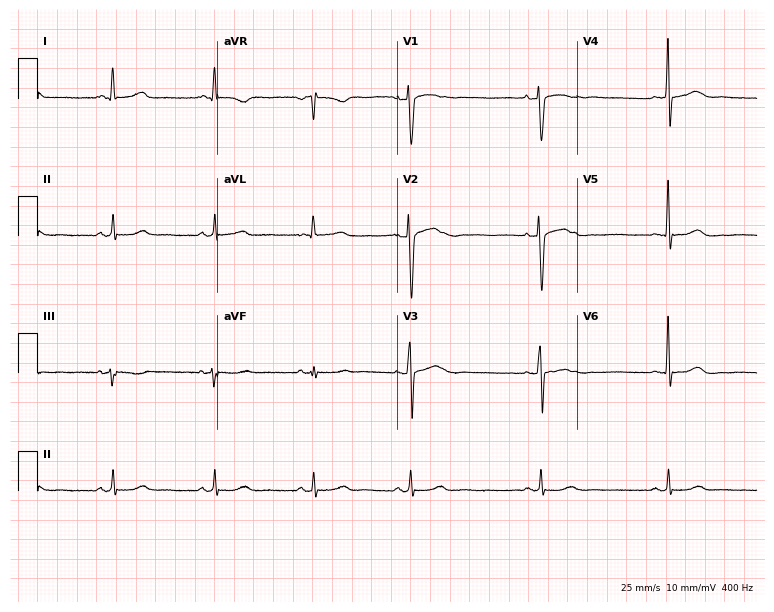
ECG — a woman, 42 years old. Labelled as a normal ECG.